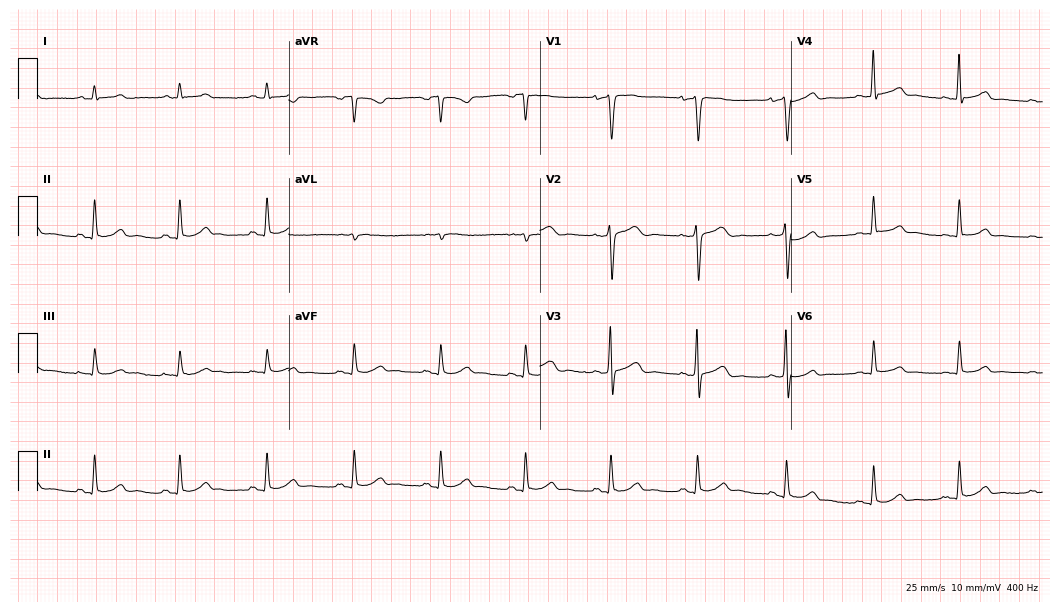
12-lead ECG (10.2-second recording at 400 Hz) from a male, 54 years old. Labelled as a normal ECG.